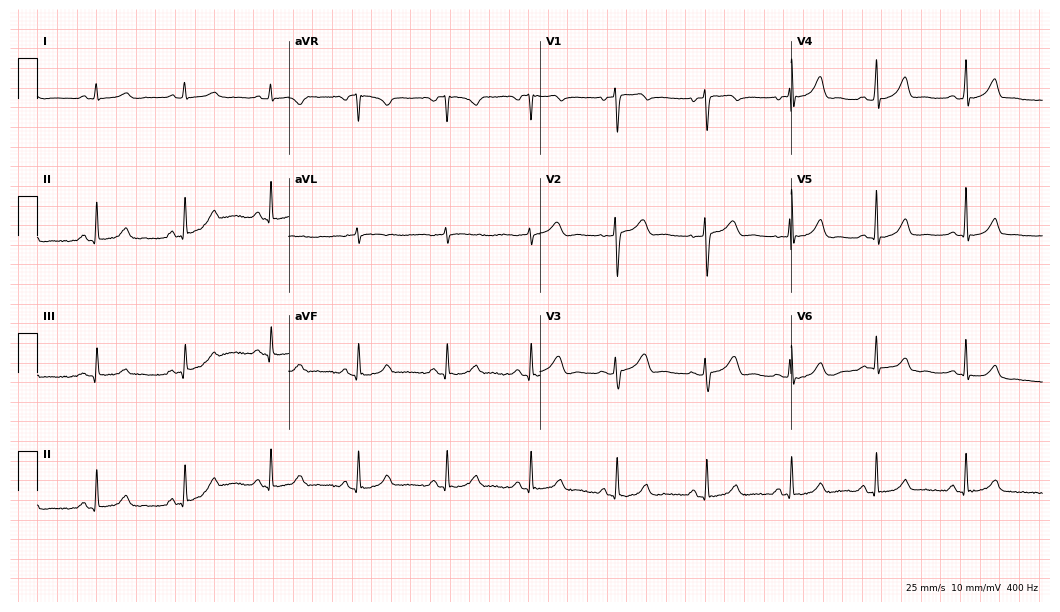
12-lead ECG from a 30-year-old woman. Recorded interpretation: within normal limits.